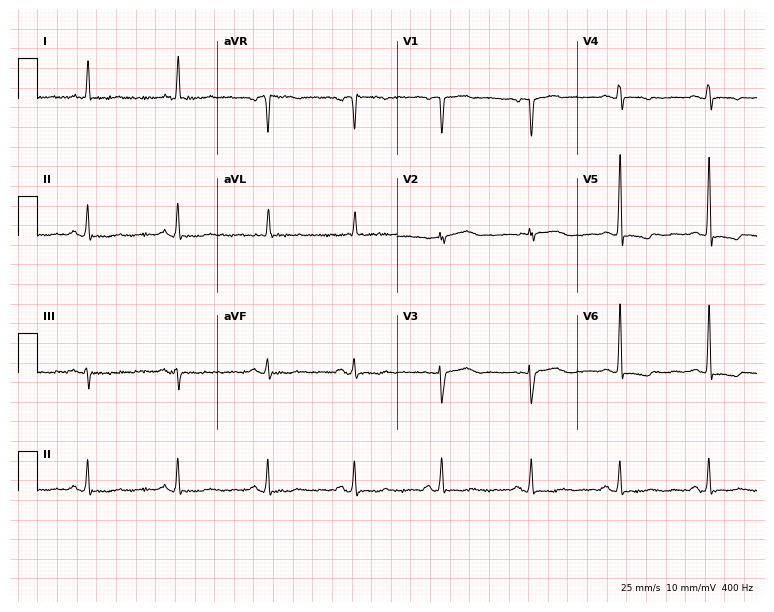
Resting 12-lead electrocardiogram (7.3-second recording at 400 Hz). Patient: a 53-year-old female. None of these six findings is recorded: first-degree AV block, right bundle branch block, left bundle branch block, sinus bradycardia, atrial fibrillation, sinus tachycardia.